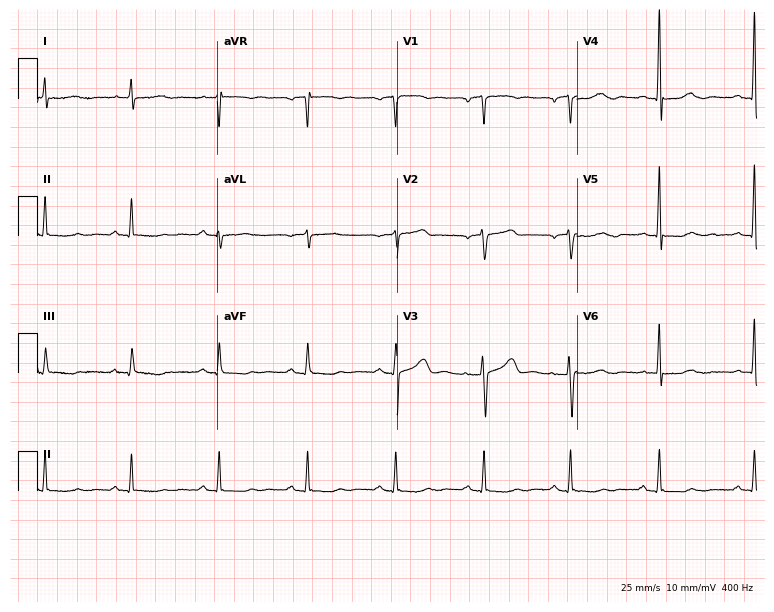
12-lead ECG from a 64-year-old female patient. No first-degree AV block, right bundle branch block, left bundle branch block, sinus bradycardia, atrial fibrillation or sinus tachycardia recorded for this tracing.